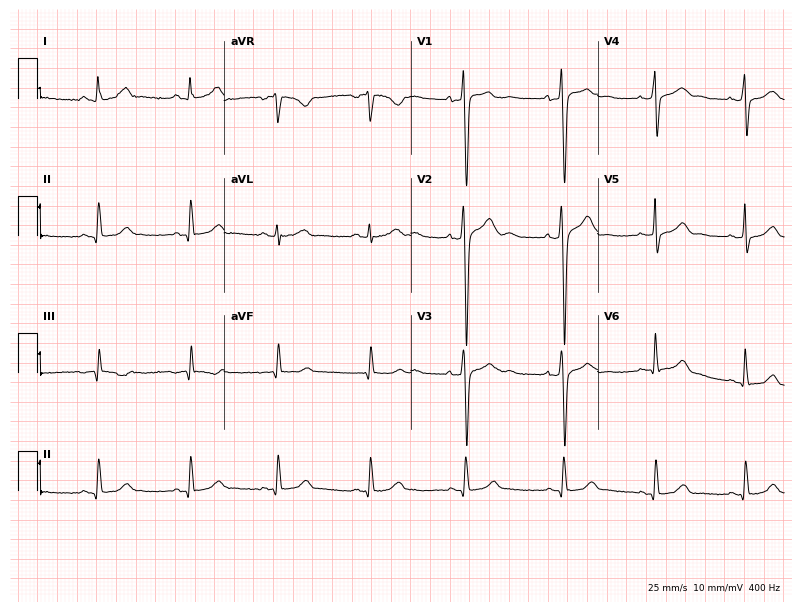
12-lead ECG (7.6-second recording at 400 Hz) from a male patient, 35 years old. Labelled as a normal ECG.